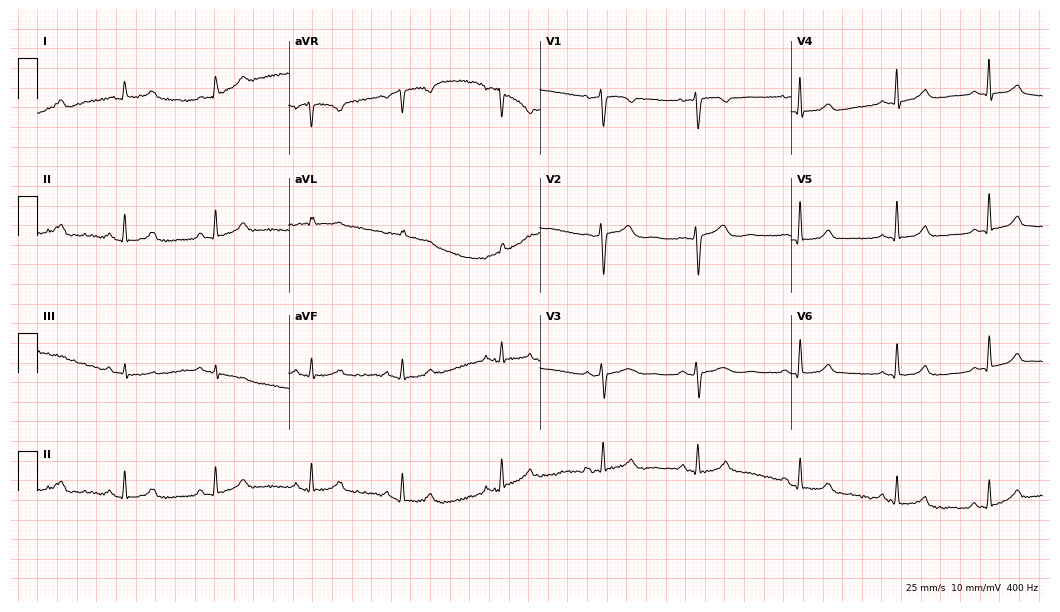
ECG — a 48-year-old female patient. Labelled as a normal ECG.